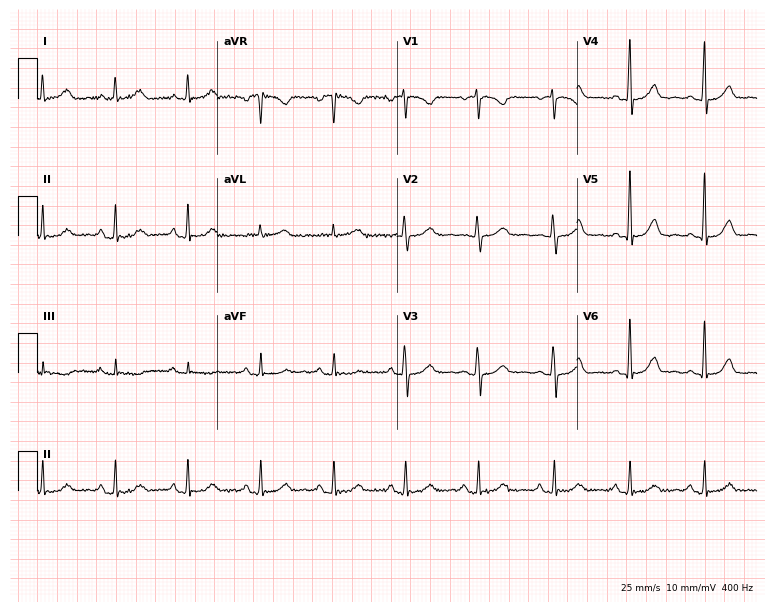
12-lead ECG from a female patient, 38 years old. Labelled as a normal ECG.